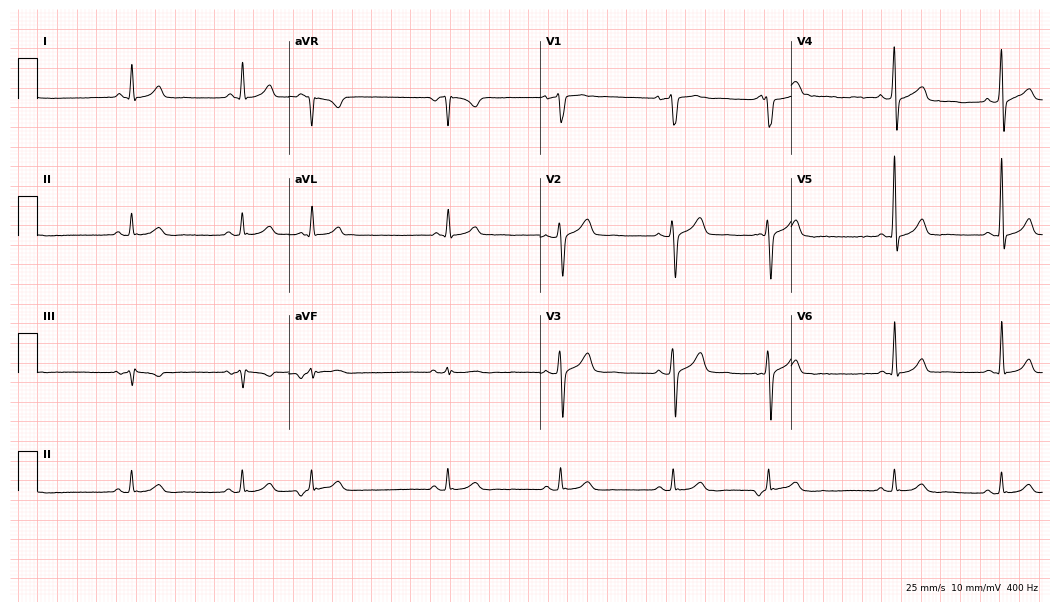
ECG (10.2-second recording at 400 Hz) — a male, 50 years old. Screened for six findings — first-degree AV block, right bundle branch block (RBBB), left bundle branch block (LBBB), sinus bradycardia, atrial fibrillation (AF), sinus tachycardia — none is recorded. Only these six findings were labelled.